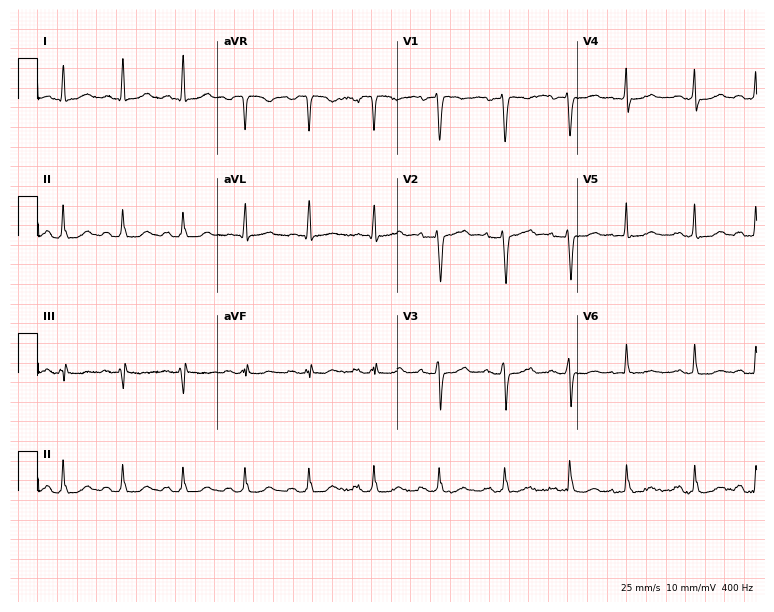
Electrocardiogram (7.3-second recording at 400 Hz), a female, 53 years old. Overall reading on record: normal ECG.